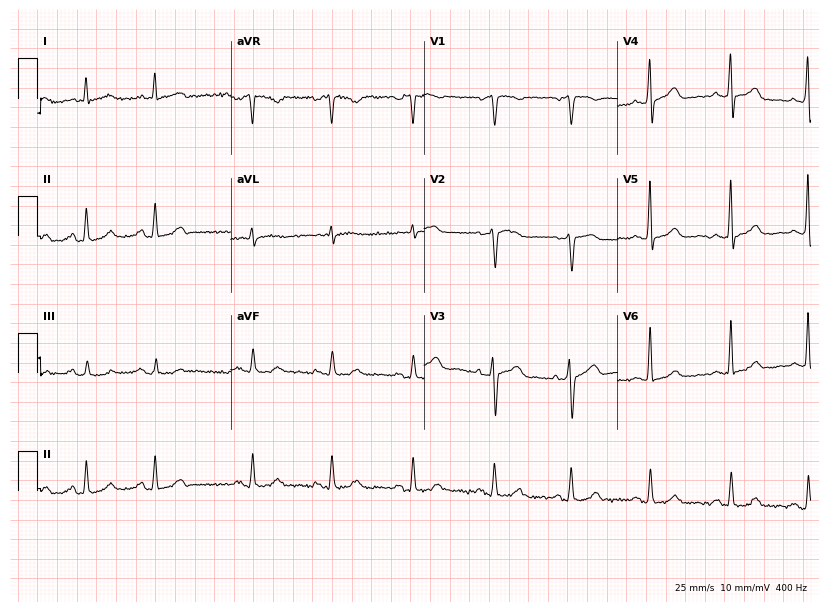
12-lead ECG from a 51-year-old female patient (7.9-second recording at 400 Hz). No first-degree AV block, right bundle branch block (RBBB), left bundle branch block (LBBB), sinus bradycardia, atrial fibrillation (AF) or sinus tachycardia recorded for this tracing. Findings outside these six are not listed.